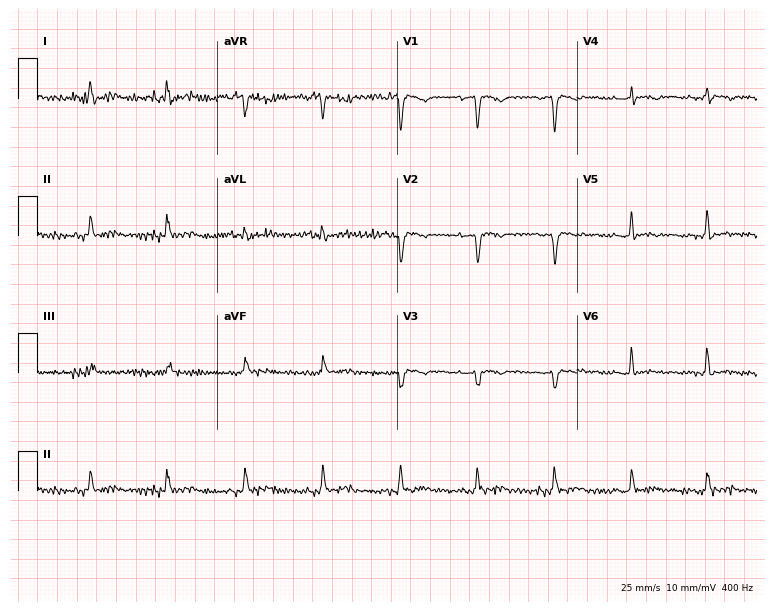
Resting 12-lead electrocardiogram. Patient: a male, 71 years old. None of these six findings is recorded: first-degree AV block, right bundle branch block, left bundle branch block, sinus bradycardia, atrial fibrillation, sinus tachycardia.